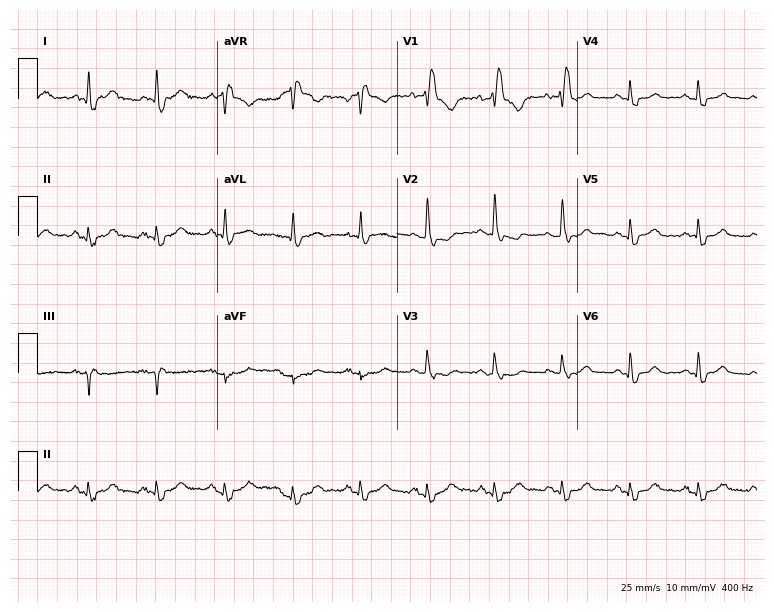
12-lead ECG (7.3-second recording at 400 Hz) from a male, 77 years old. Findings include right bundle branch block.